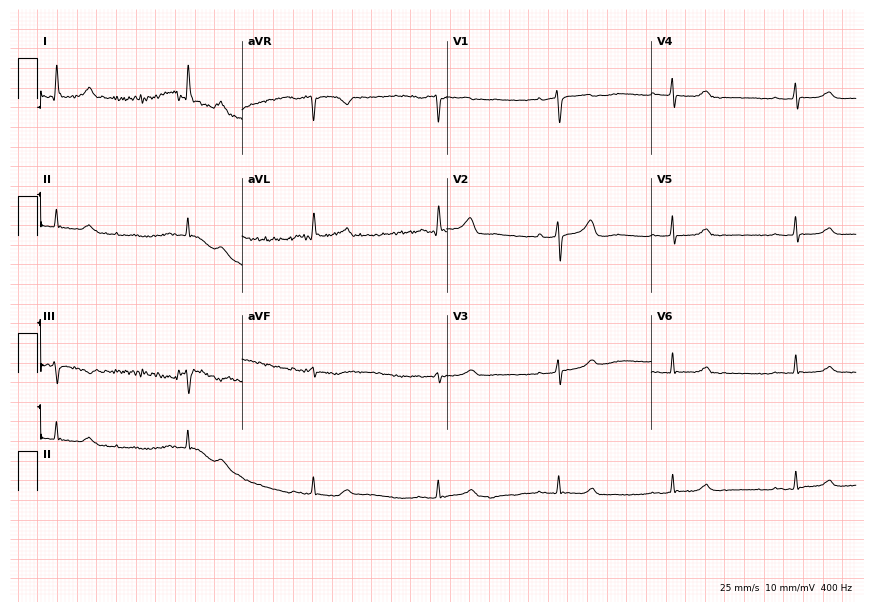
Standard 12-lead ECG recorded from a female patient, 63 years old (8.3-second recording at 400 Hz). The tracing shows sinus bradycardia (a sinus rate of 50 beats per minute or less).